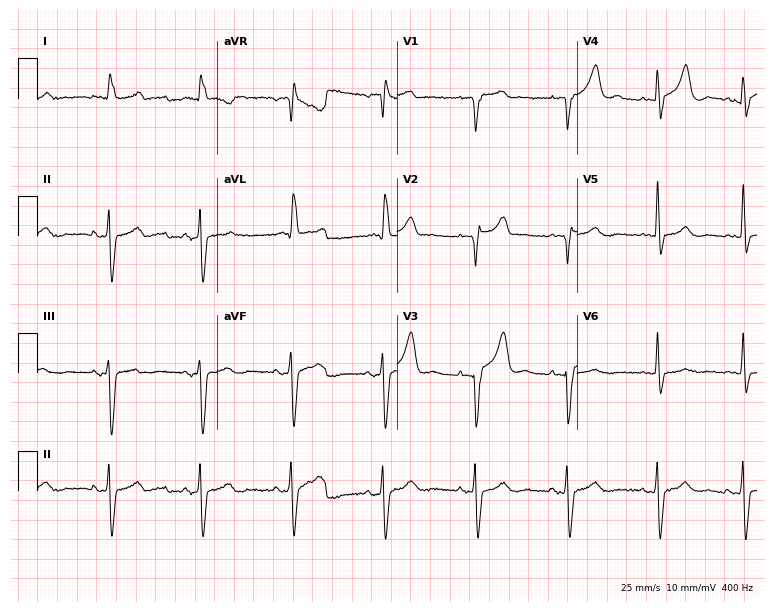
12-lead ECG (7.3-second recording at 400 Hz) from a man, 84 years old. Screened for six findings — first-degree AV block, right bundle branch block, left bundle branch block, sinus bradycardia, atrial fibrillation, sinus tachycardia — none is recorded. Other findings, if any, are not listed.